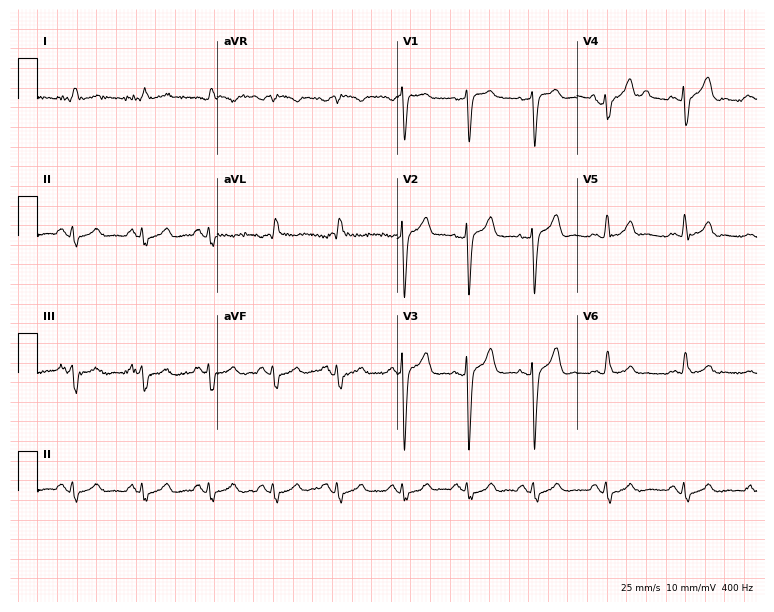
12-lead ECG from a 78-year-old male patient (7.3-second recording at 400 Hz). No first-degree AV block, right bundle branch block, left bundle branch block, sinus bradycardia, atrial fibrillation or sinus tachycardia recorded for this tracing. Other findings, if any, are not listed.